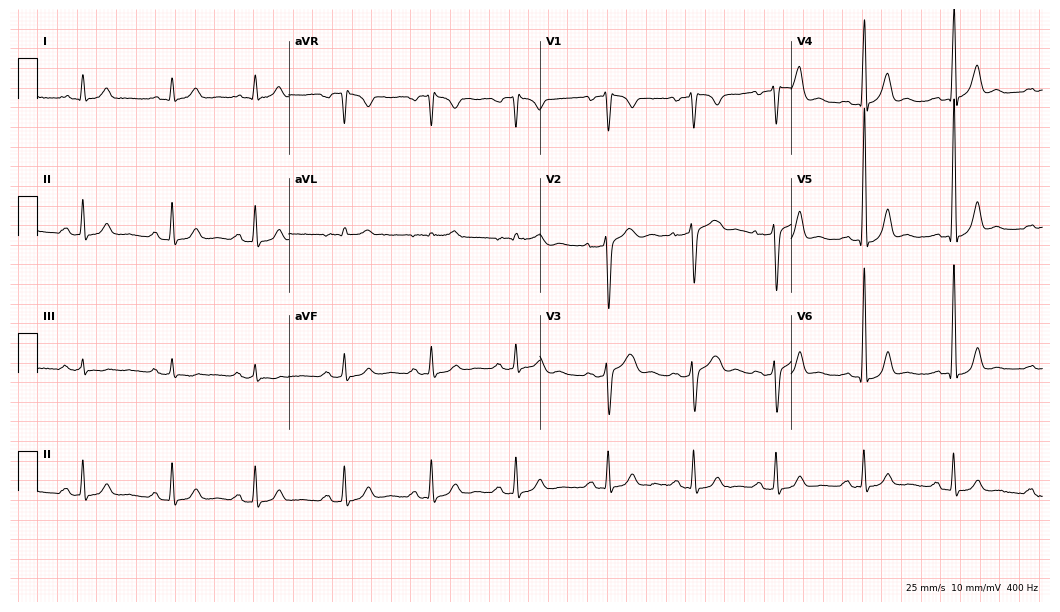
ECG (10.2-second recording at 400 Hz) — a male patient, 24 years old. Screened for six findings — first-degree AV block, right bundle branch block (RBBB), left bundle branch block (LBBB), sinus bradycardia, atrial fibrillation (AF), sinus tachycardia — none is recorded. Only these six findings were labelled.